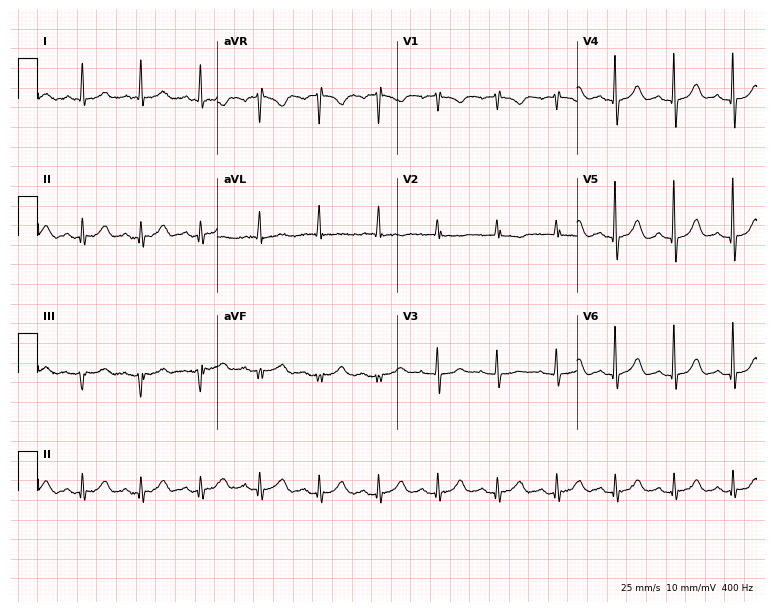
Standard 12-lead ECG recorded from a 77-year-old female patient (7.3-second recording at 400 Hz). None of these six findings is recorded: first-degree AV block, right bundle branch block, left bundle branch block, sinus bradycardia, atrial fibrillation, sinus tachycardia. Only these six findings were labelled.